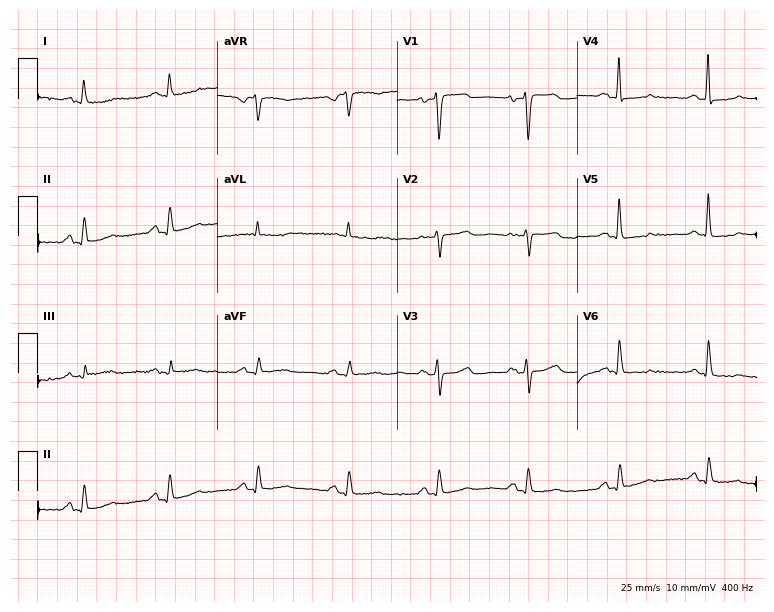
12-lead ECG from a 77-year-old male. No first-degree AV block, right bundle branch block, left bundle branch block, sinus bradycardia, atrial fibrillation or sinus tachycardia recorded for this tracing.